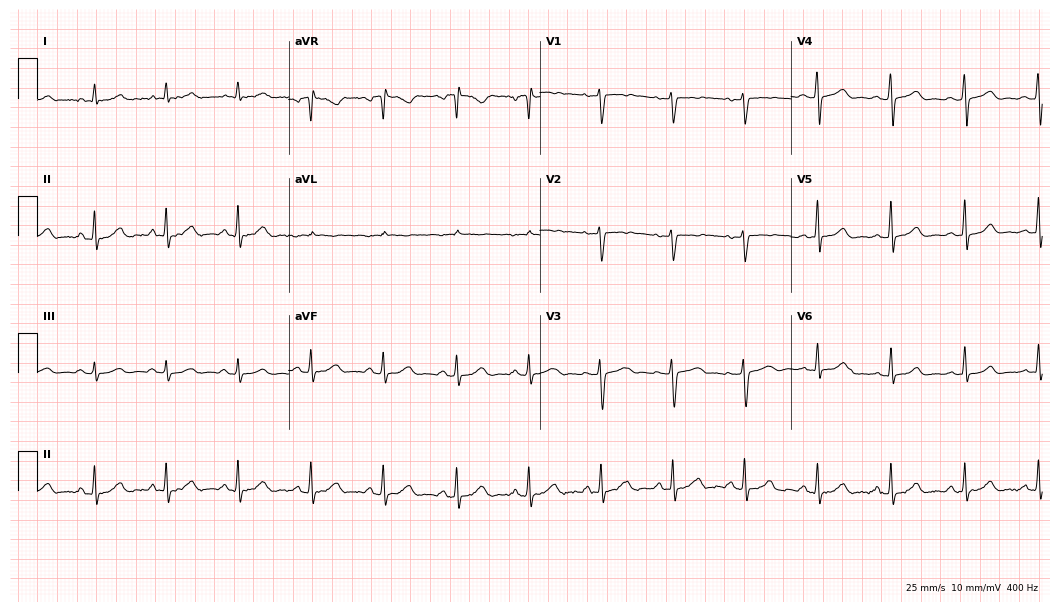
12-lead ECG from a 43-year-old female patient. Recorded interpretation: within normal limits.